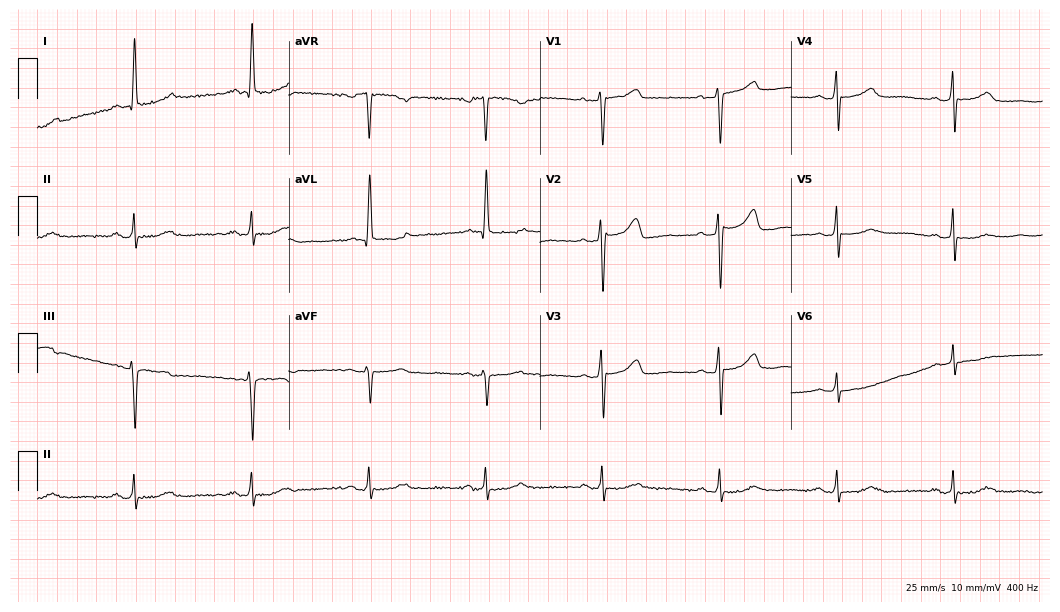
Standard 12-lead ECG recorded from a 70-year-old woman. None of these six findings is recorded: first-degree AV block, right bundle branch block, left bundle branch block, sinus bradycardia, atrial fibrillation, sinus tachycardia. Only these six findings were labelled.